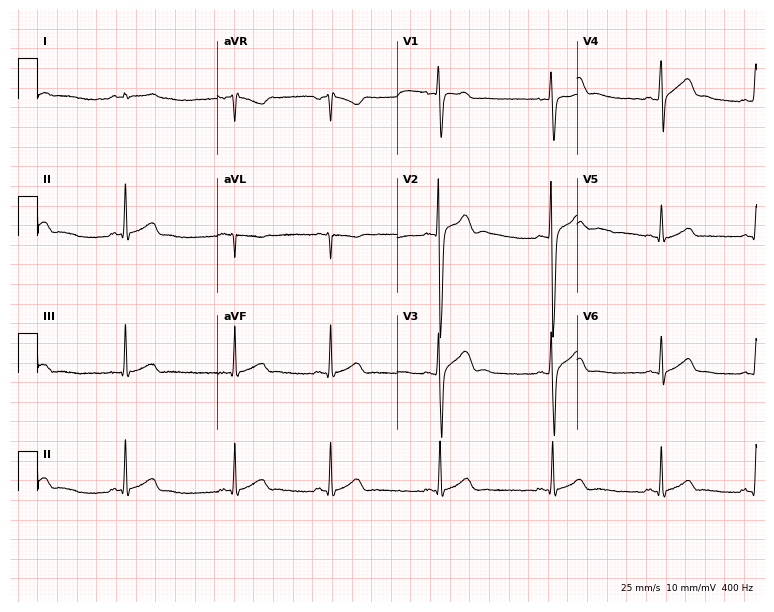
12-lead ECG from a 24-year-old male patient (7.3-second recording at 400 Hz). Recorded interpretation: within normal limits.